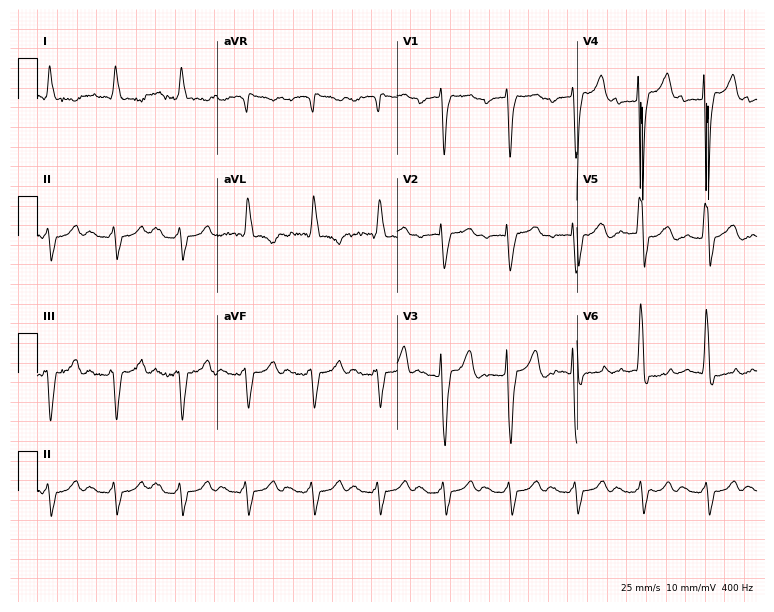
Electrocardiogram (7.3-second recording at 400 Hz), a male, 63 years old. Interpretation includes first-degree AV block, left bundle branch block.